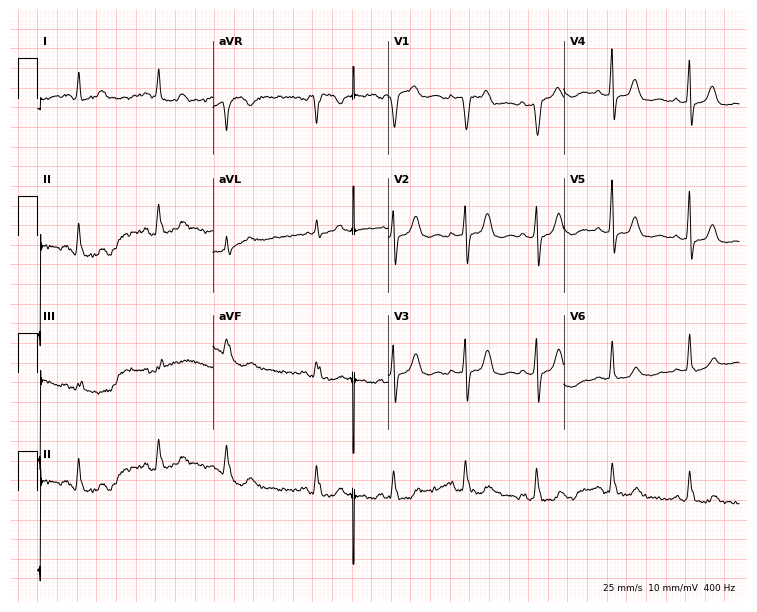
Resting 12-lead electrocardiogram. Patient: a woman, 82 years old. None of these six findings is recorded: first-degree AV block, right bundle branch block, left bundle branch block, sinus bradycardia, atrial fibrillation, sinus tachycardia.